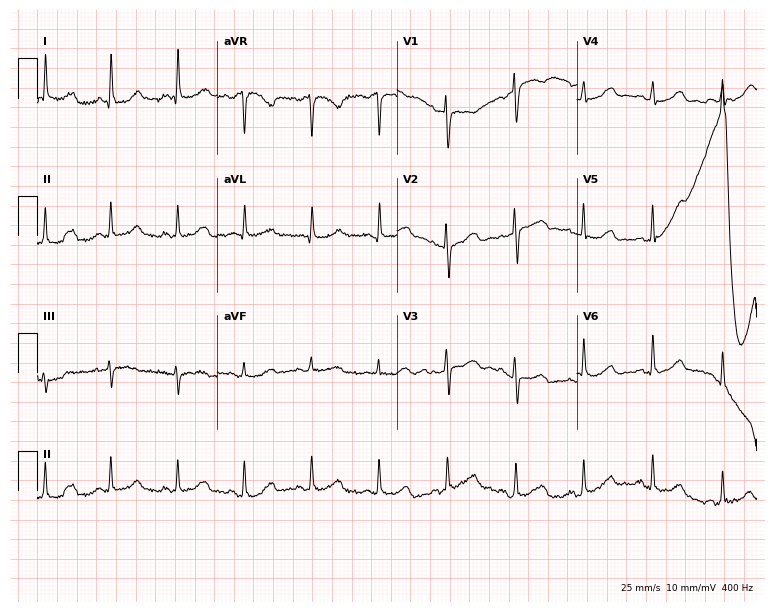
ECG (7.3-second recording at 400 Hz) — a 60-year-old female. Labelled as a normal ECG.